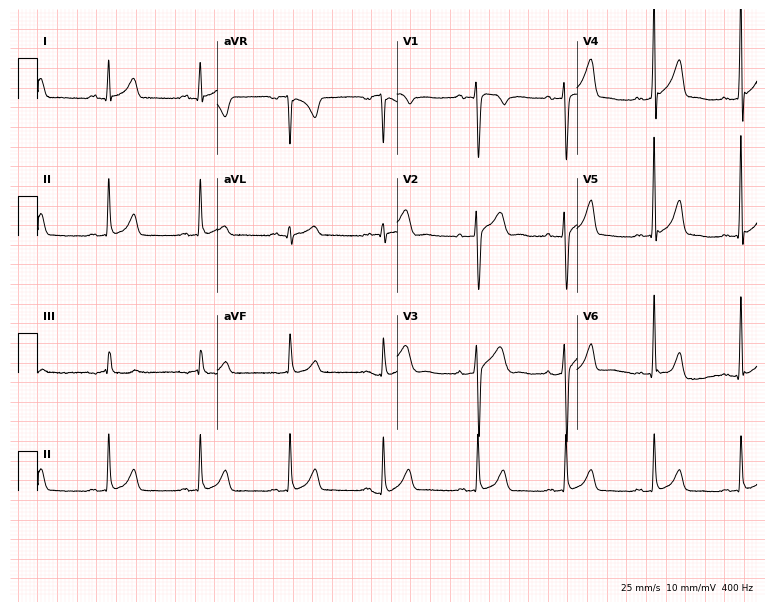
Standard 12-lead ECG recorded from a male, 32 years old (7.3-second recording at 400 Hz). Read as a normal ECG.